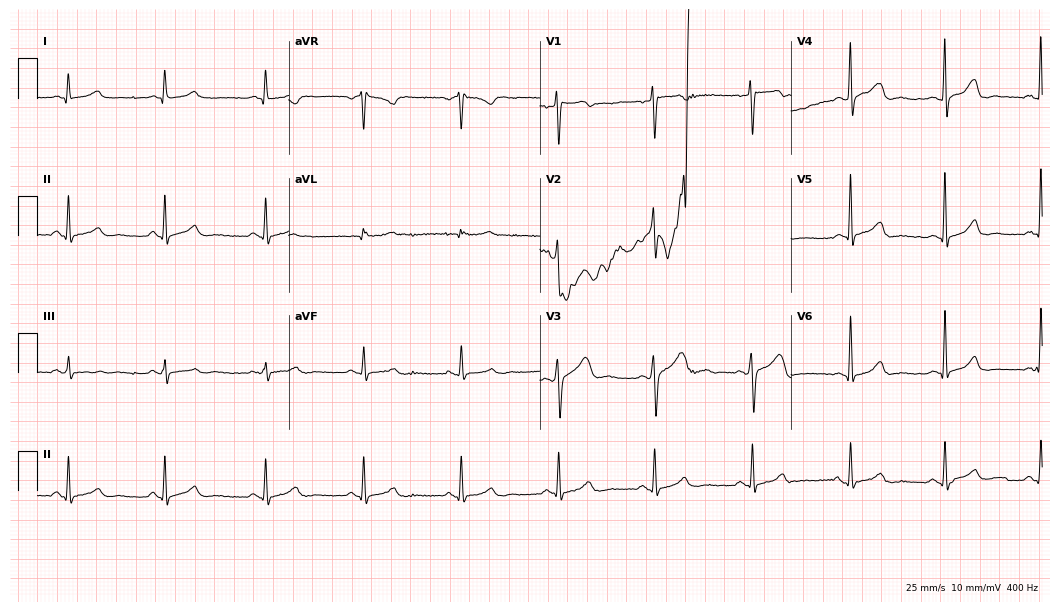
Resting 12-lead electrocardiogram. Patient: a 63-year-old man. Read as a normal ECG.